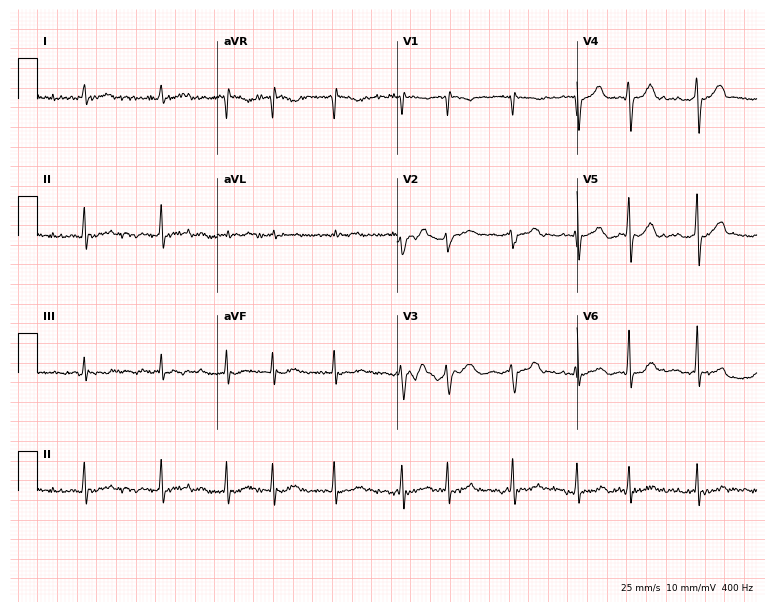
Resting 12-lead electrocardiogram. Patient: a male, 82 years old. The tracing shows atrial fibrillation (AF).